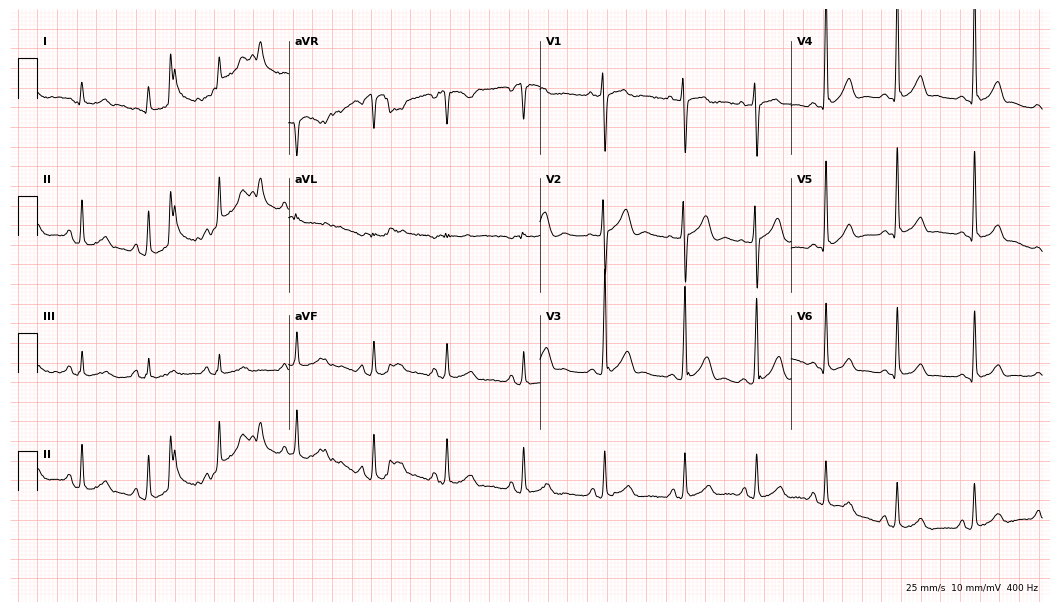
12-lead ECG from a 19-year-old man (10.2-second recording at 400 Hz). Recorded interpretation: within normal limits.